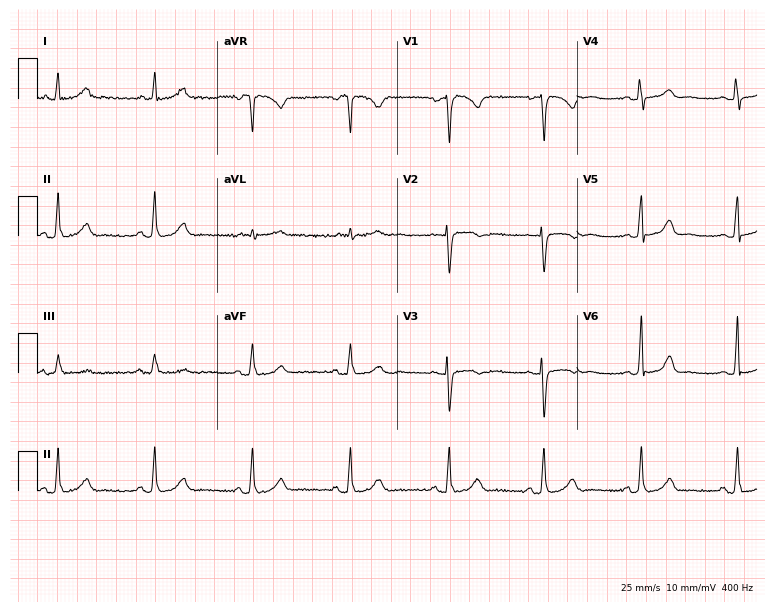
Resting 12-lead electrocardiogram (7.3-second recording at 400 Hz). Patient: a 61-year-old woman. None of these six findings is recorded: first-degree AV block, right bundle branch block, left bundle branch block, sinus bradycardia, atrial fibrillation, sinus tachycardia. Findings outside these six are not listed.